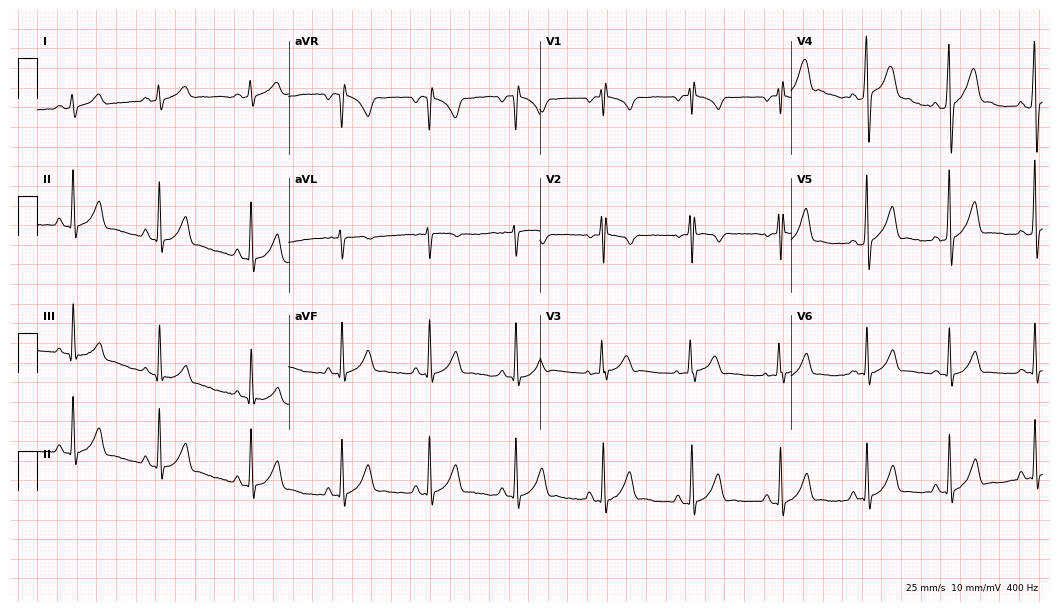
ECG (10.2-second recording at 400 Hz) — a male patient, 24 years old. Screened for six findings — first-degree AV block, right bundle branch block (RBBB), left bundle branch block (LBBB), sinus bradycardia, atrial fibrillation (AF), sinus tachycardia — none is recorded. Other findings, if any, are not listed.